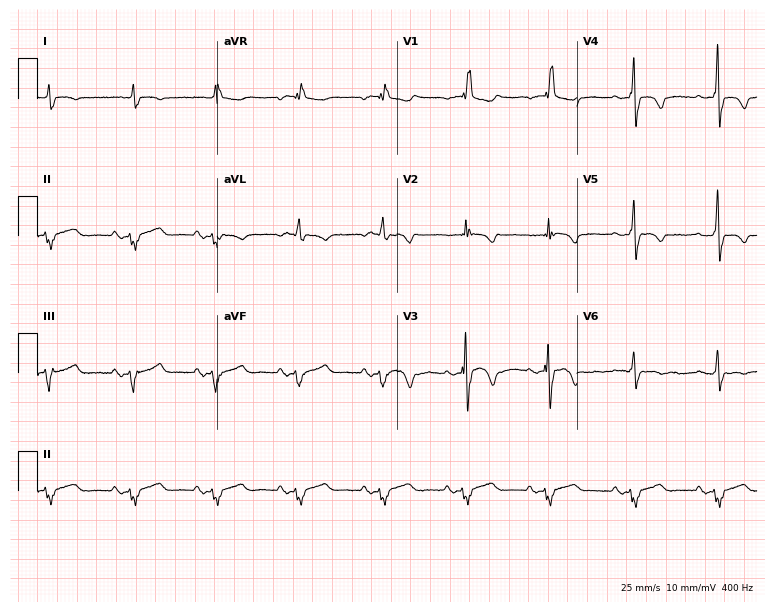
12-lead ECG (7.3-second recording at 400 Hz) from an 84-year-old male. Screened for six findings — first-degree AV block, right bundle branch block, left bundle branch block, sinus bradycardia, atrial fibrillation, sinus tachycardia — none is recorded. Findings outside these six are not listed.